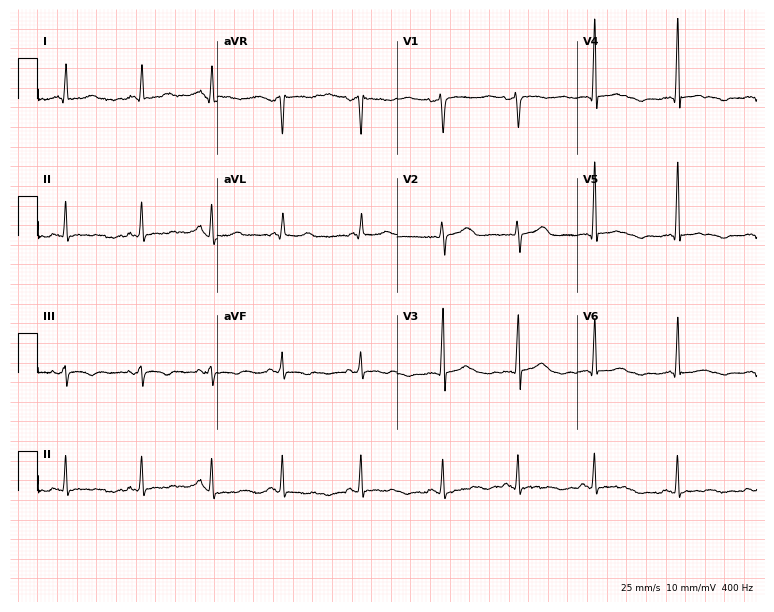
12-lead ECG from a 43-year-old female. Screened for six findings — first-degree AV block, right bundle branch block (RBBB), left bundle branch block (LBBB), sinus bradycardia, atrial fibrillation (AF), sinus tachycardia — none is recorded. Findings outside these six are not listed.